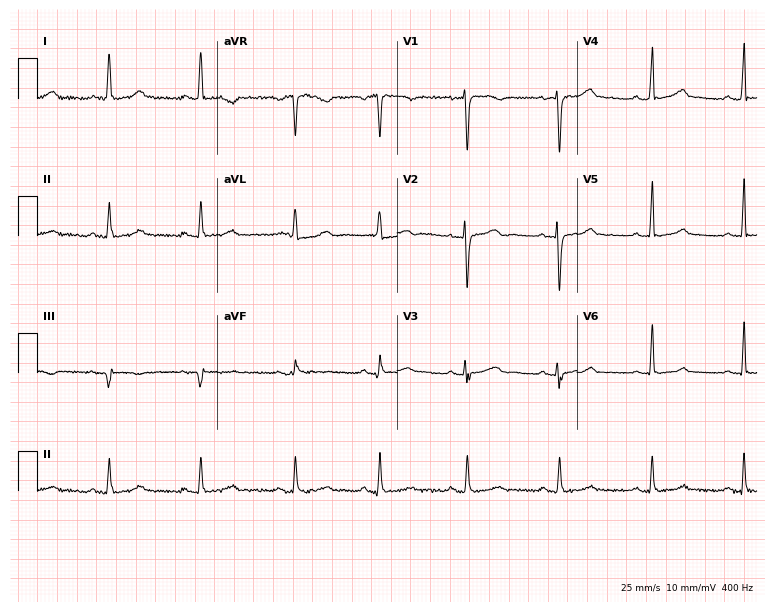
12-lead ECG from a 47-year-old female. Labelled as a normal ECG.